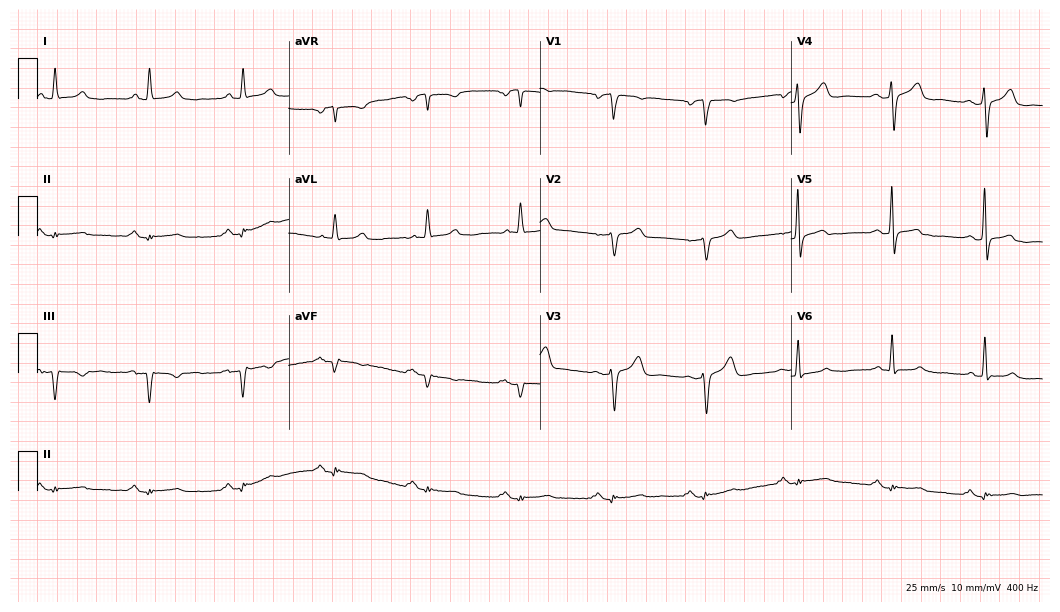
Electrocardiogram, a 66-year-old male patient. Of the six screened findings (first-degree AV block, right bundle branch block, left bundle branch block, sinus bradycardia, atrial fibrillation, sinus tachycardia), none is recorded. Only these six findings were labelled.